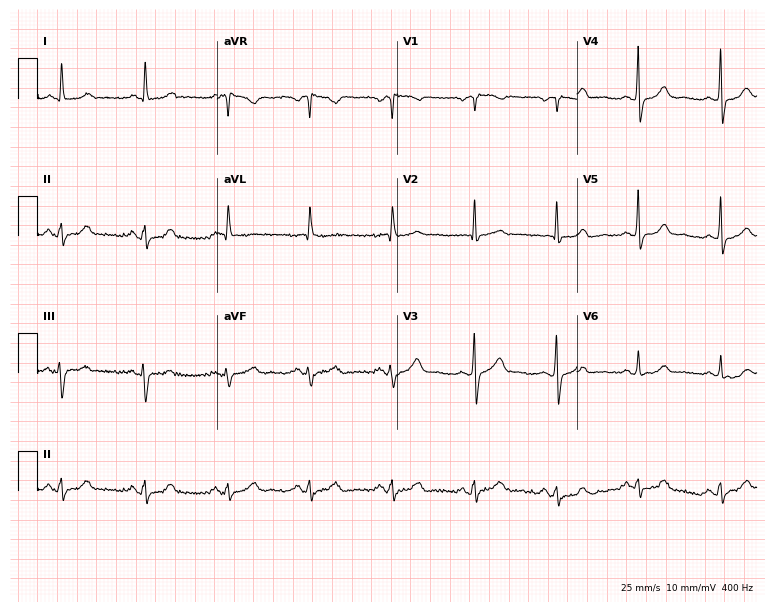
12-lead ECG from a male patient, 62 years old (7.3-second recording at 400 Hz). Recorded interpretation: within normal limits.